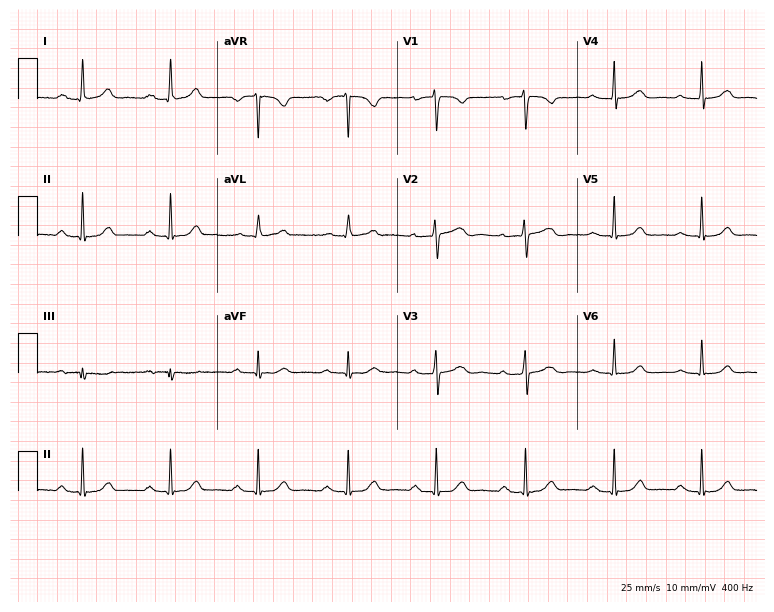
Resting 12-lead electrocardiogram. Patient: a 62-year-old female. None of these six findings is recorded: first-degree AV block, right bundle branch block (RBBB), left bundle branch block (LBBB), sinus bradycardia, atrial fibrillation (AF), sinus tachycardia.